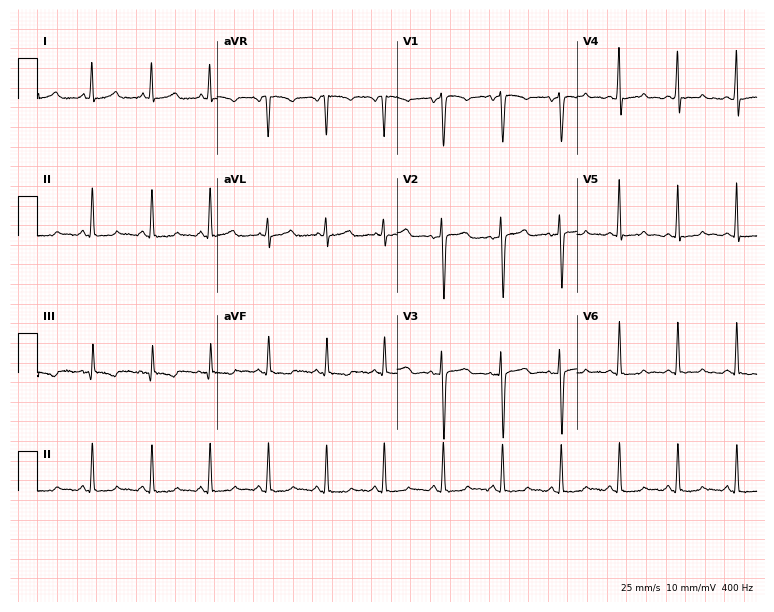
12-lead ECG from a female, 27 years old. Recorded interpretation: within normal limits.